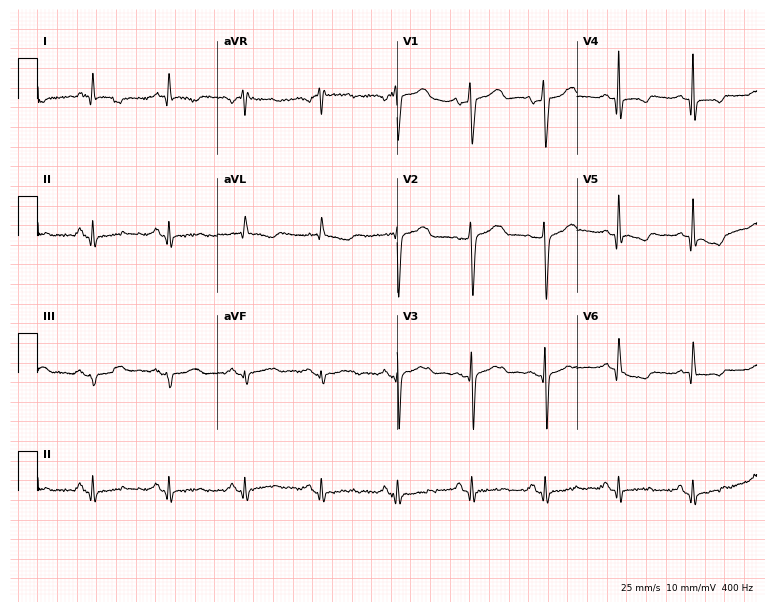
12-lead ECG from a 63-year-old man. No first-degree AV block, right bundle branch block (RBBB), left bundle branch block (LBBB), sinus bradycardia, atrial fibrillation (AF) or sinus tachycardia recorded for this tracing. Only these six findings were labelled.